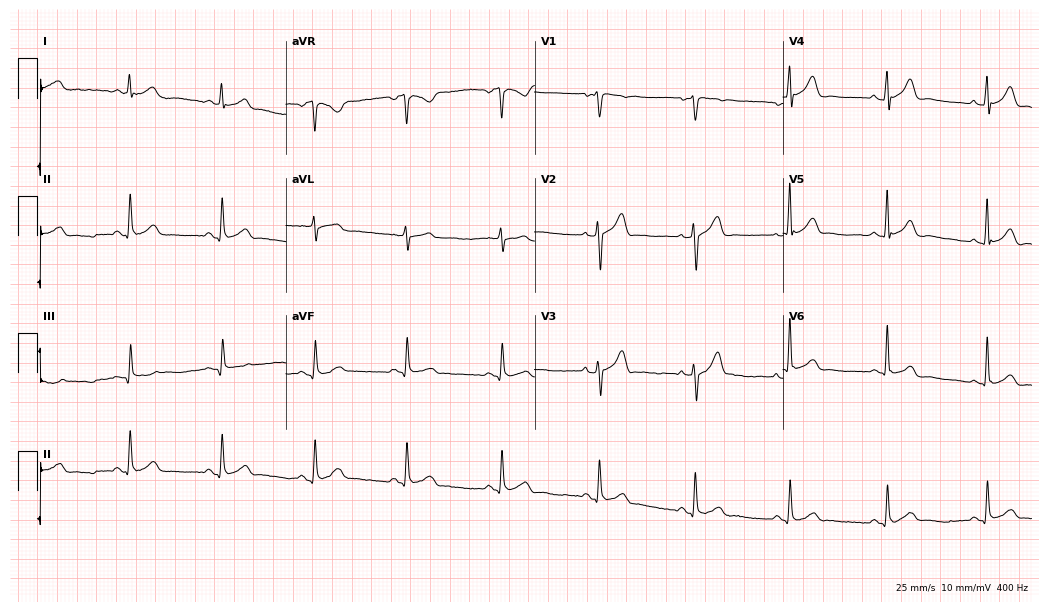
12-lead ECG from a 51-year-old man. Labelled as a normal ECG.